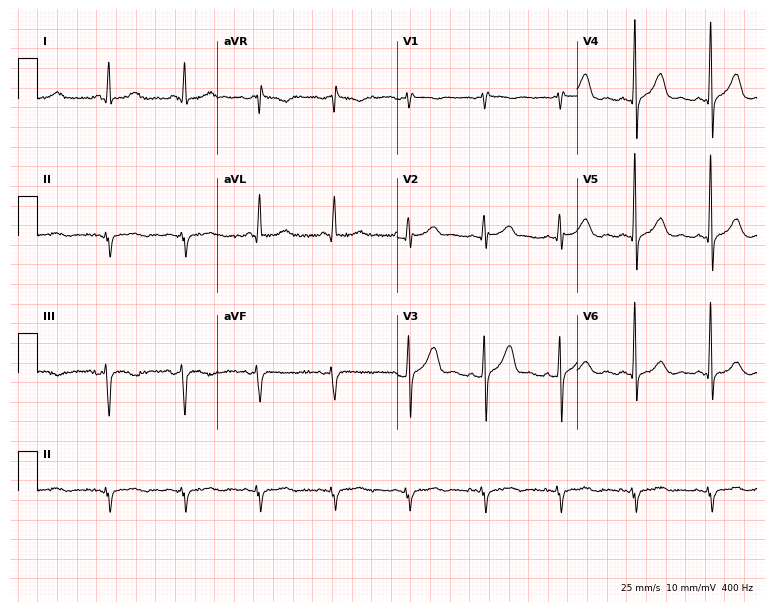
Resting 12-lead electrocardiogram. Patient: a 60-year-old male. None of these six findings is recorded: first-degree AV block, right bundle branch block (RBBB), left bundle branch block (LBBB), sinus bradycardia, atrial fibrillation (AF), sinus tachycardia.